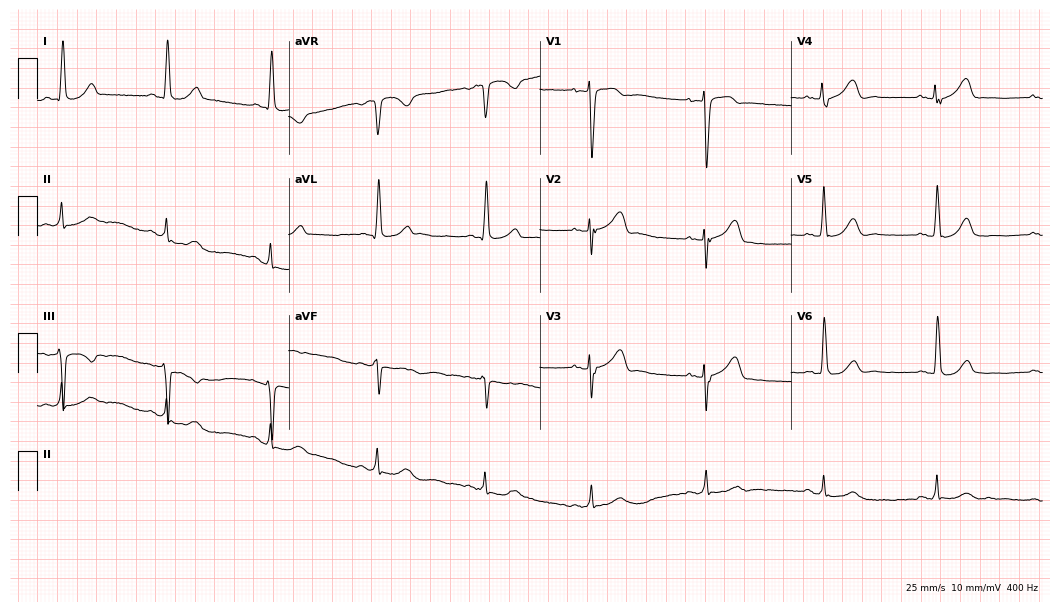
Standard 12-lead ECG recorded from a woman, 80 years old (10.2-second recording at 400 Hz). Read as a normal ECG.